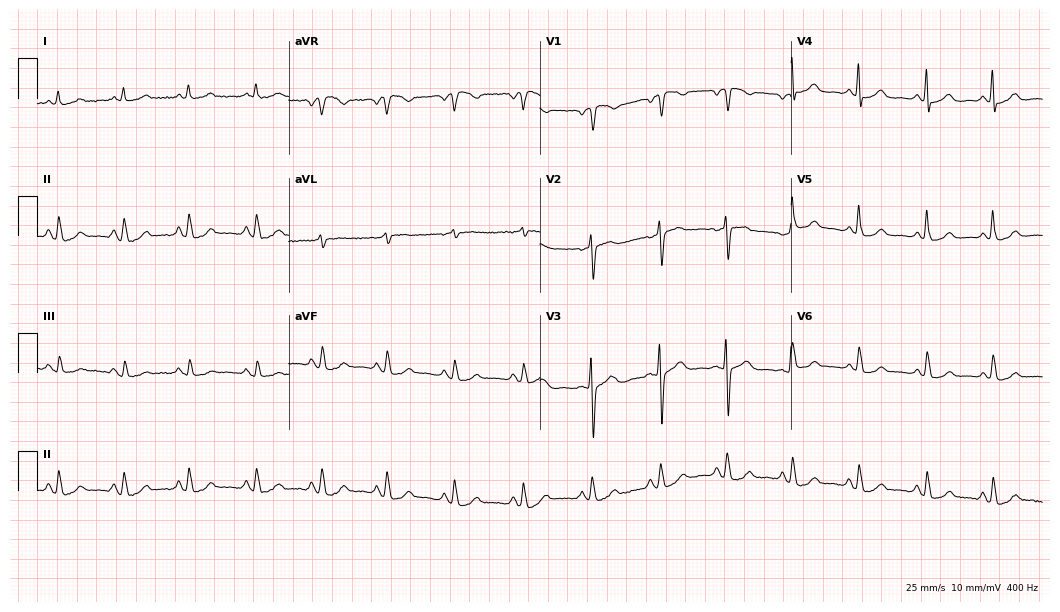
Resting 12-lead electrocardiogram. Patient: a woman, 76 years old. None of these six findings is recorded: first-degree AV block, right bundle branch block (RBBB), left bundle branch block (LBBB), sinus bradycardia, atrial fibrillation (AF), sinus tachycardia.